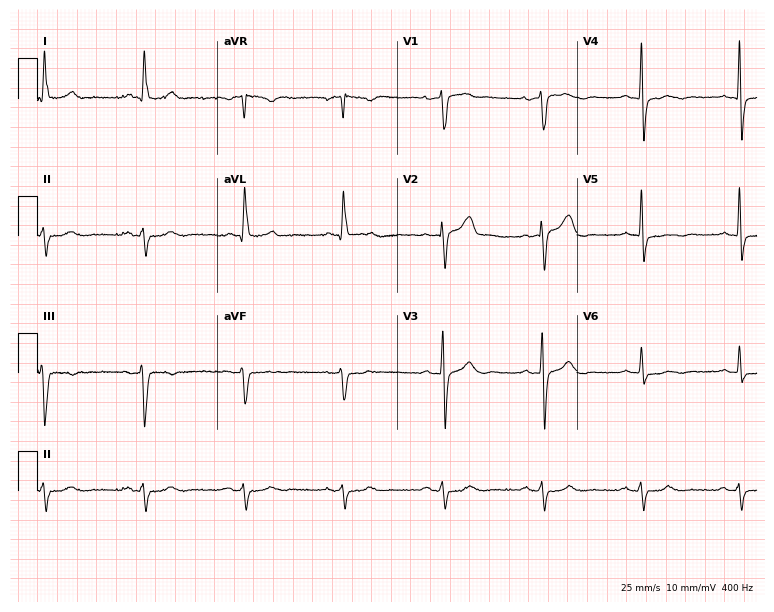
Standard 12-lead ECG recorded from a male patient, 72 years old (7.3-second recording at 400 Hz). None of these six findings is recorded: first-degree AV block, right bundle branch block, left bundle branch block, sinus bradycardia, atrial fibrillation, sinus tachycardia. Findings outside these six are not listed.